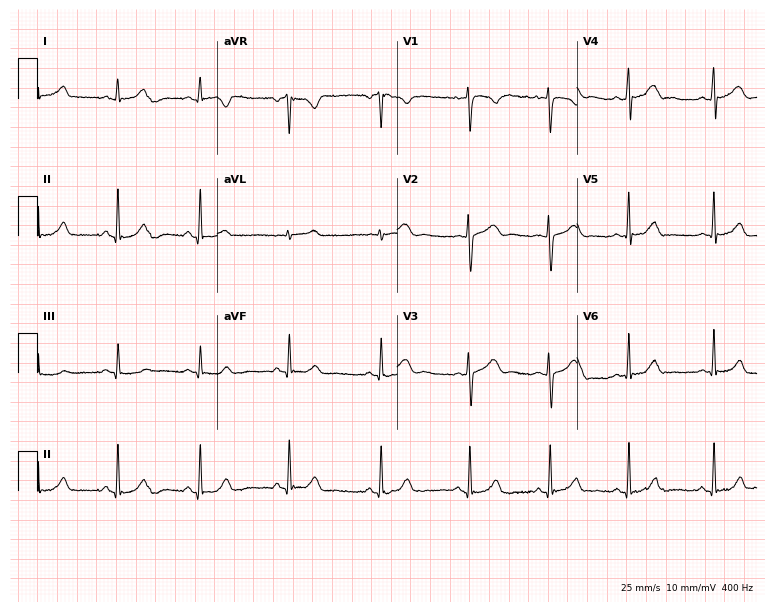
12-lead ECG from a 22-year-old female patient. Labelled as a normal ECG.